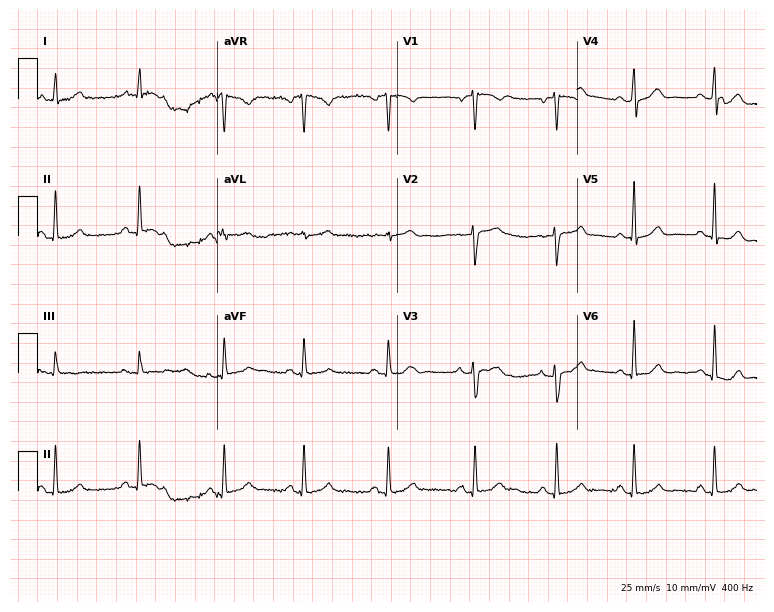
12-lead ECG from a female patient, 47 years old. Screened for six findings — first-degree AV block, right bundle branch block (RBBB), left bundle branch block (LBBB), sinus bradycardia, atrial fibrillation (AF), sinus tachycardia — none is recorded.